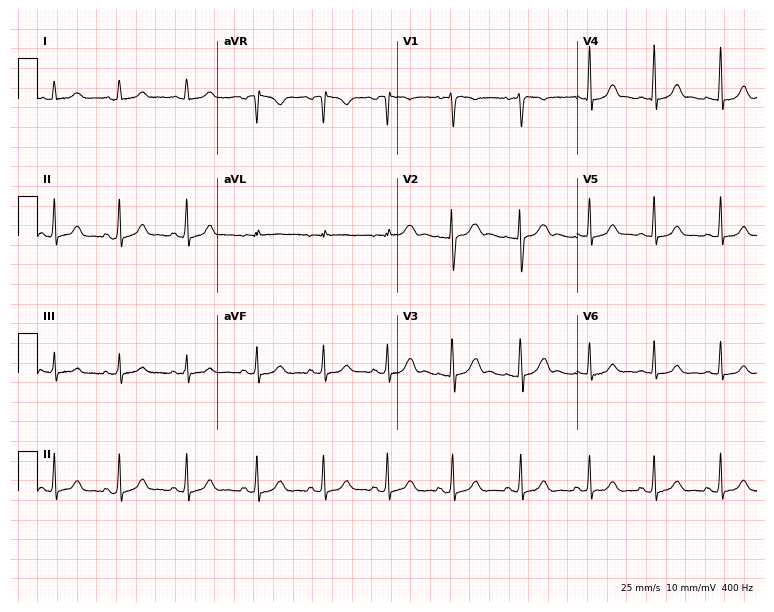
Resting 12-lead electrocardiogram (7.3-second recording at 400 Hz). Patient: a woman, 21 years old. Read as a normal ECG.